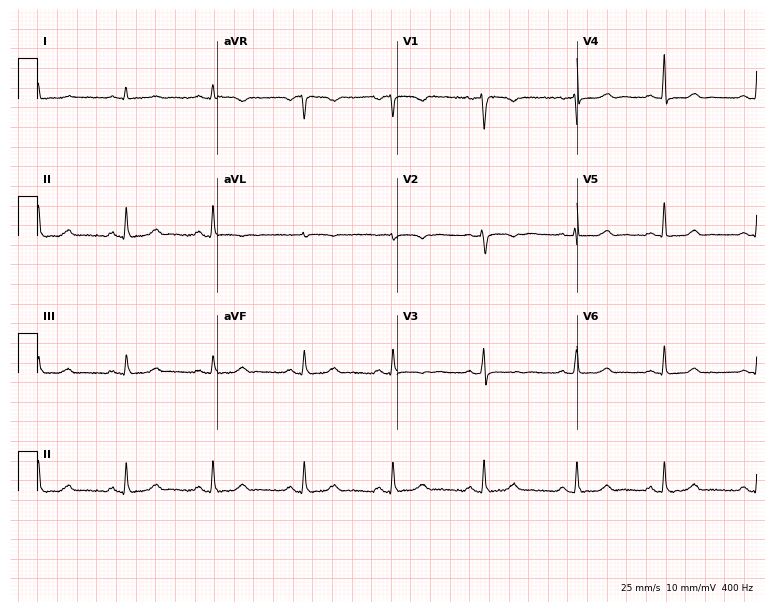
Electrocardiogram, a 39-year-old female. Overall reading on record: normal ECG.